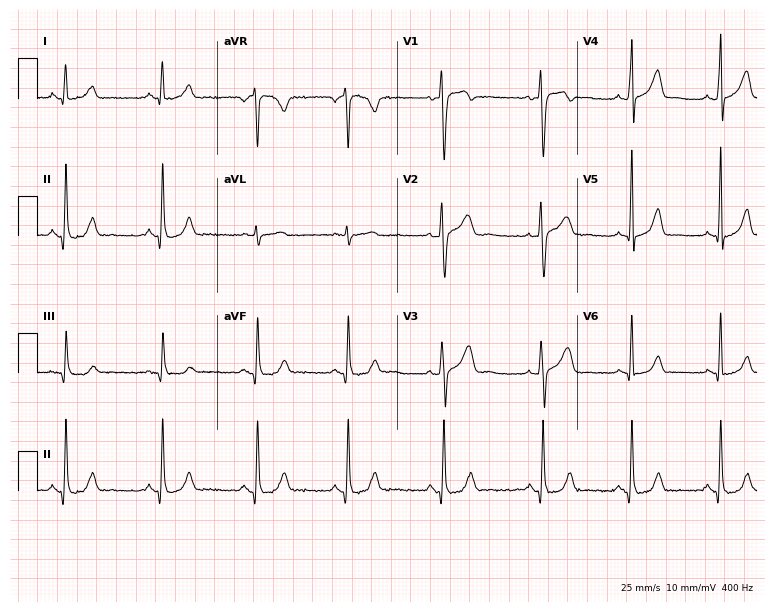
Resting 12-lead electrocardiogram. Patient: a female, 43 years old. None of these six findings is recorded: first-degree AV block, right bundle branch block, left bundle branch block, sinus bradycardia, atrial fibrillation, sinus tachycardia. Findings outside these six are not listed.